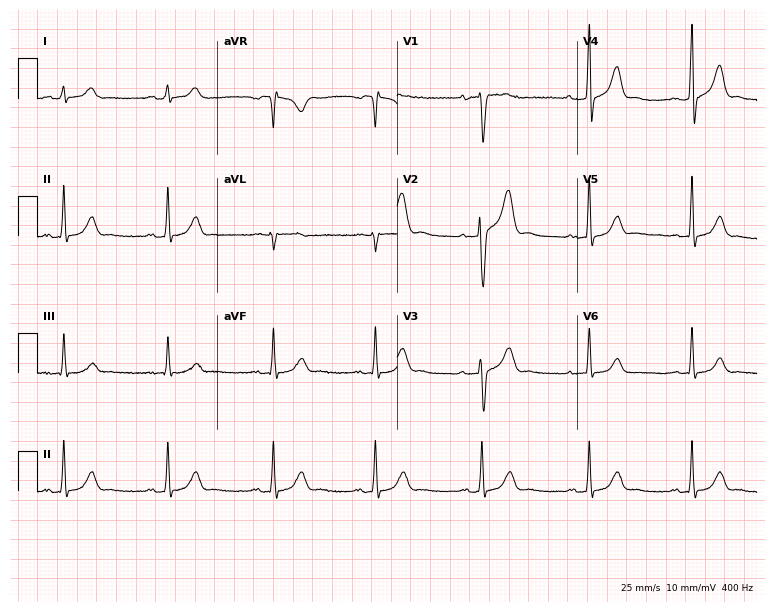
Resting 12-lead electrocardiogram (7.3-second recording at 400 Hz). Patient: a 32-year-old man. Read as a normal ECG.